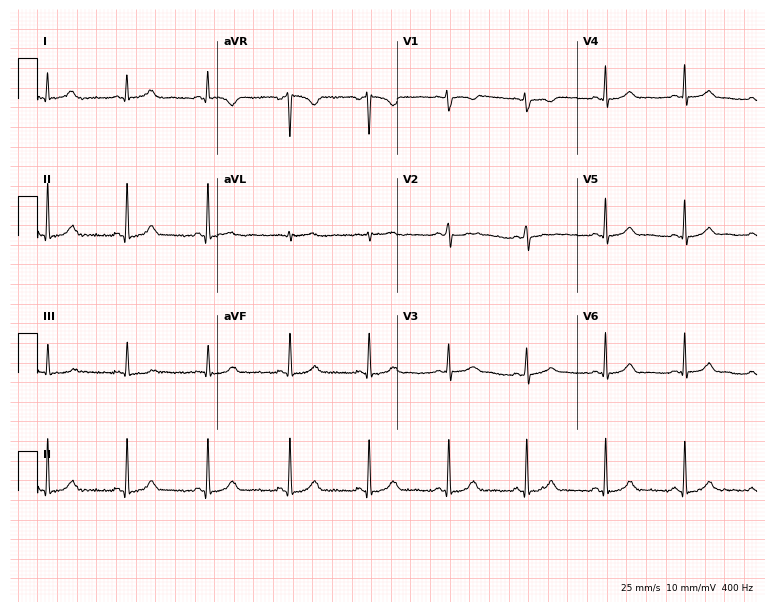
12-lead ECG (7.3-second recording at 400 Hz) from a female patient, 22 years old. Labelled as a normal ECG.